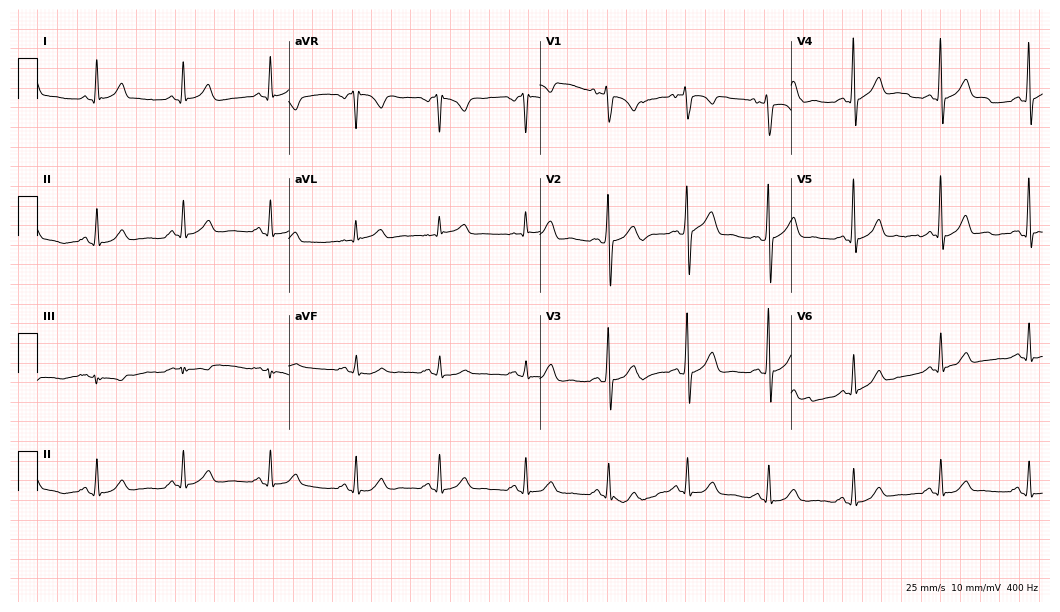
Standard 12-lead ECG recorded from a male, 64 years old. Read as a normal ECG.